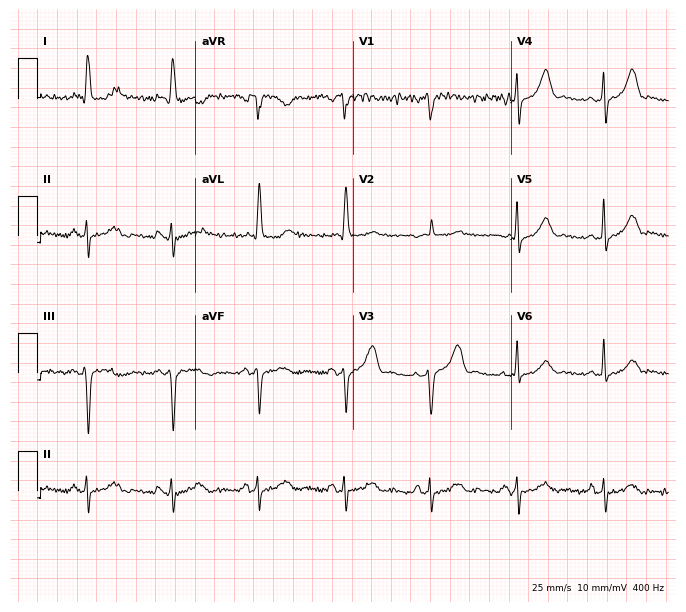
Standard 12-lead ECG recorded from a 60-year-old woman (6.4-second recording at 400 Hz). Read as a normal ECG.